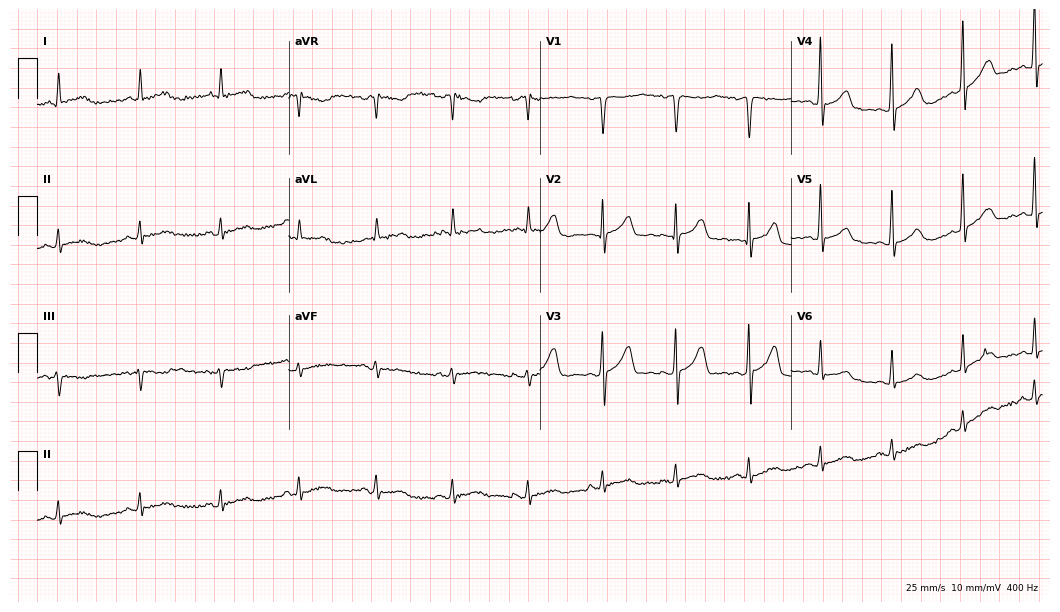
Electrocardiogram, a man, 48 years old. Overall reading on record: normal ECG.